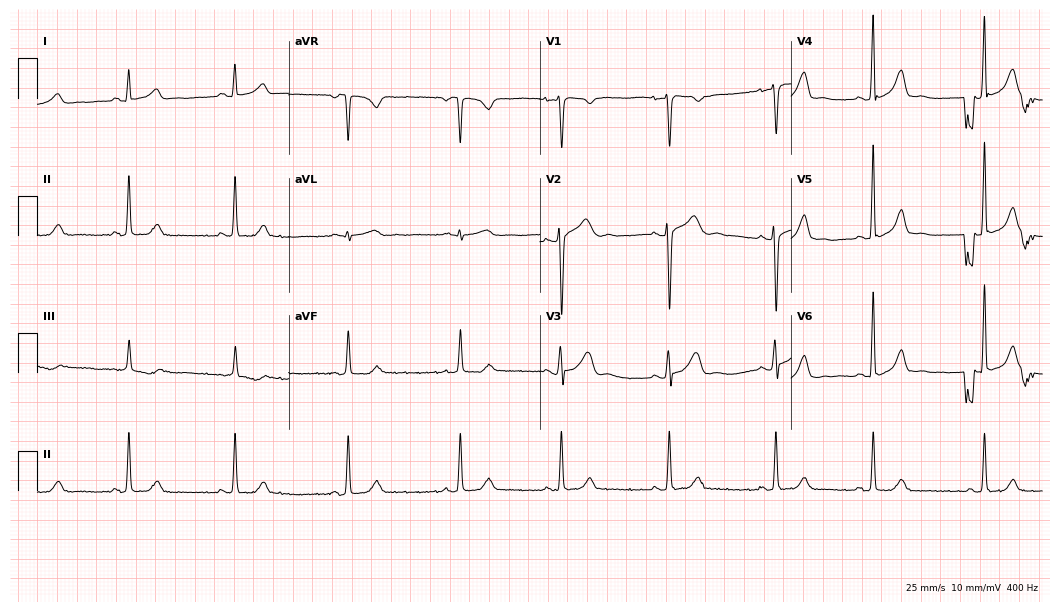
ECG (10.2-second recording at 400 Hz) — a 32-year-old female. Labelled as a normal ECG.